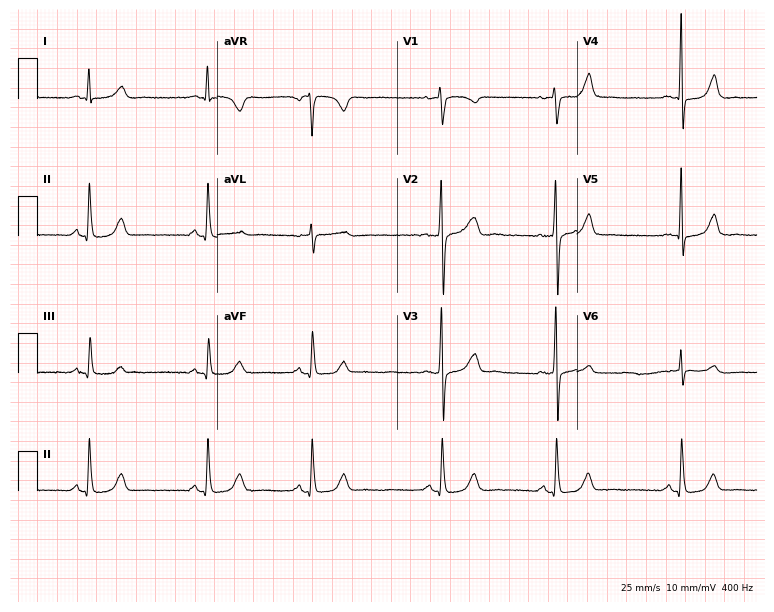
Resting 12-lead electrocardiogram. Patient: a 44-year-old female. None of these six findings is recorded: first-degree AV block, right bundle branch block, left bundle branch block, sinus bradycardia, atrial fibrillation, sinus tachycardia.